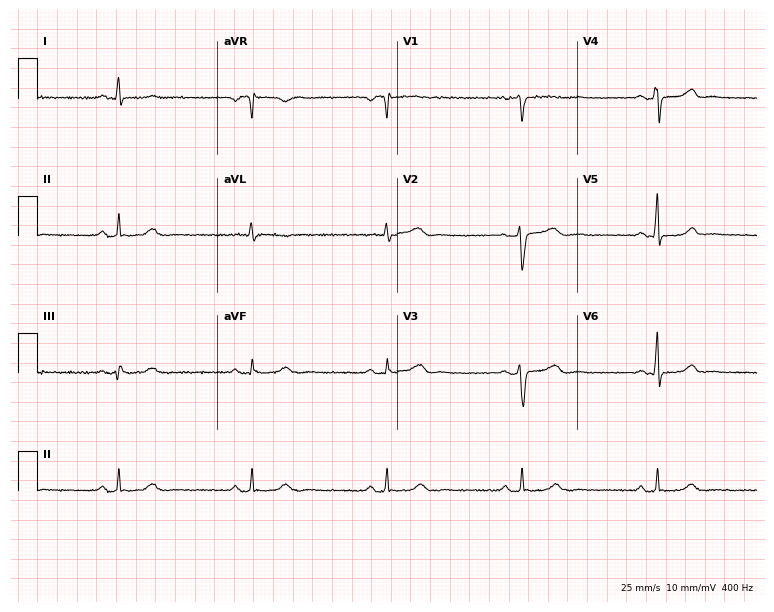
Electrocardiogram (7.3-second recording at 400 Hz), a 66-year-old woman. Interpretation includes sinus bradycardia (a sinus rate of 50 beats per minute or less).